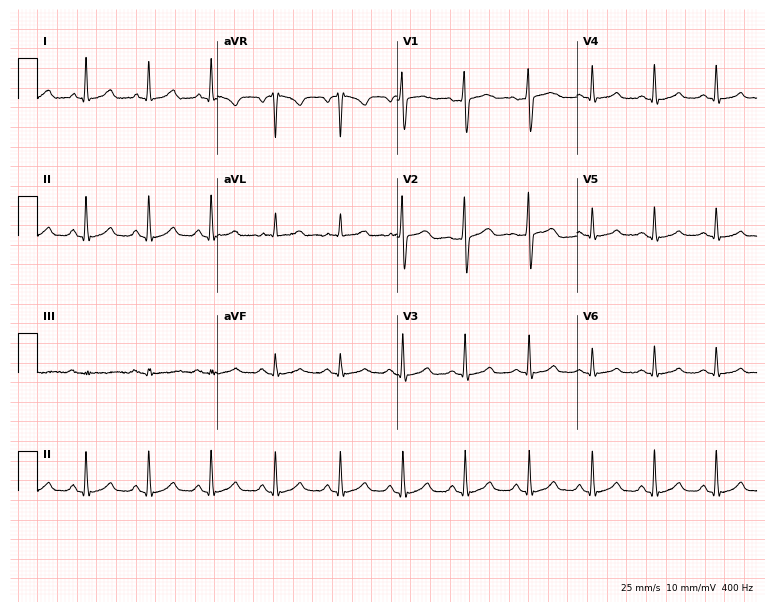
12-lead ECG from a woman, 47 years old. Recorded interpretation: within normal limits.